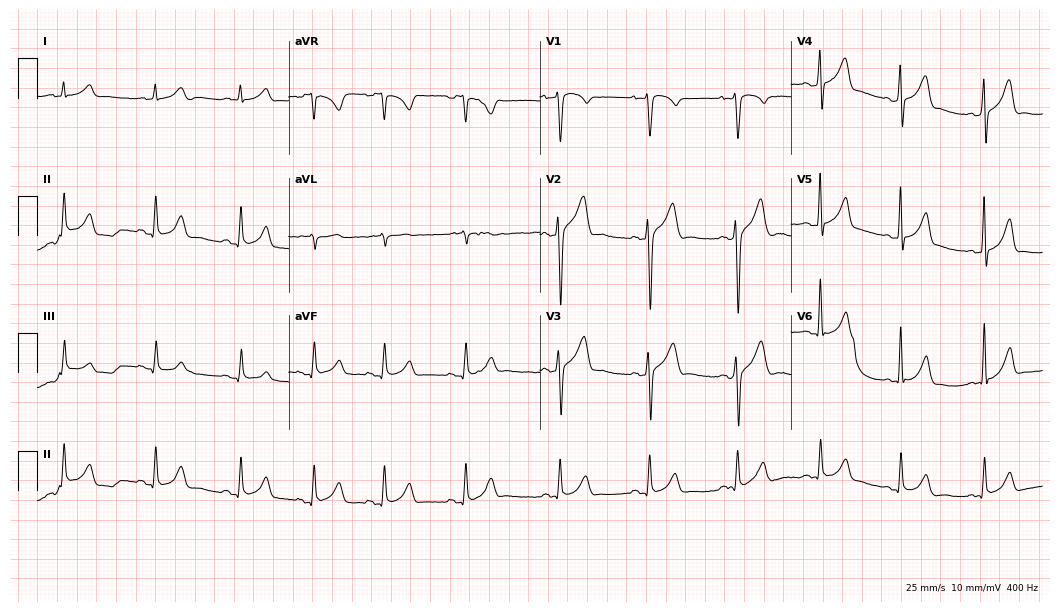
12-lead ECG from a man, 22 years old. Recorded interpretation: within normal limits.